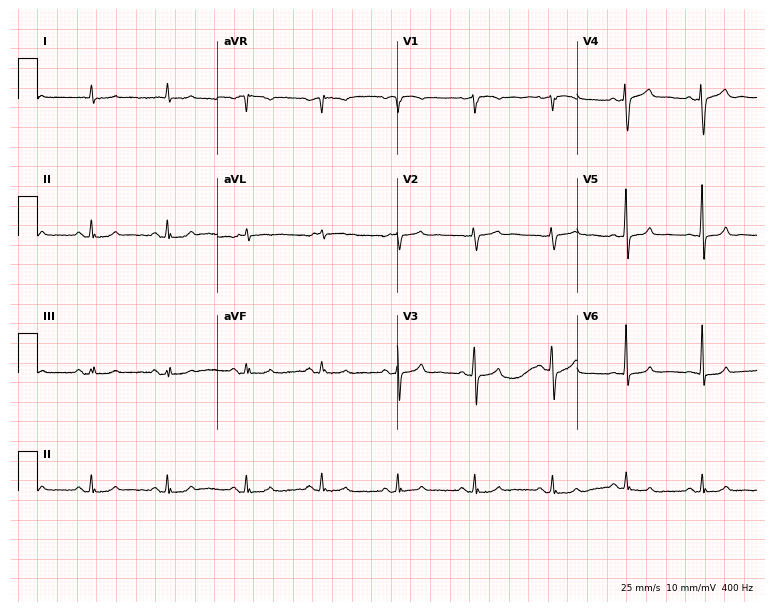
Resting 12-lead electrocardiogram. Patient: an 80-year-old female. Read as a normal ECG.